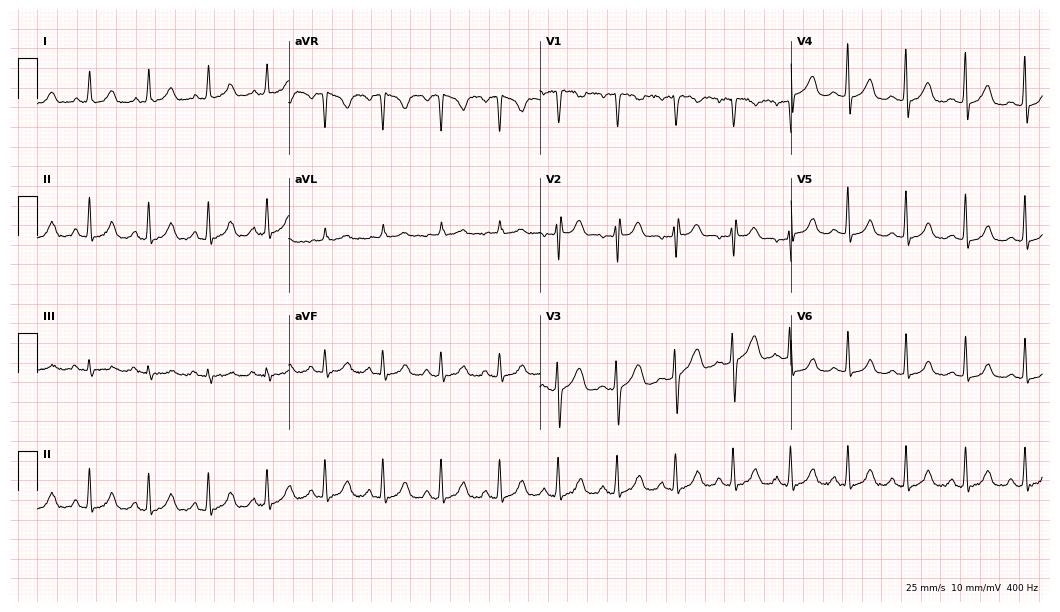
Electrocardiogram, a woman, 32 years old. Overall reading on record: normal ECG.